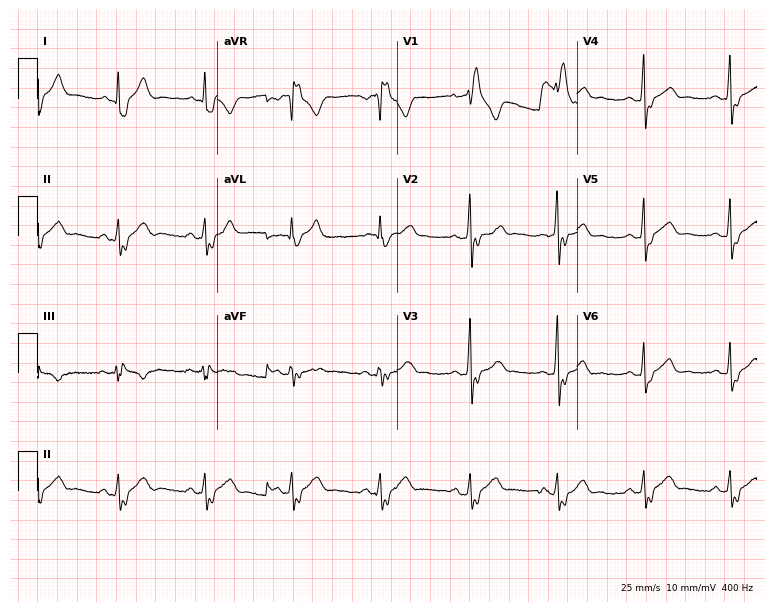
ECG — a male, 39 years old. Findings include right bundle branch block (RBBB).